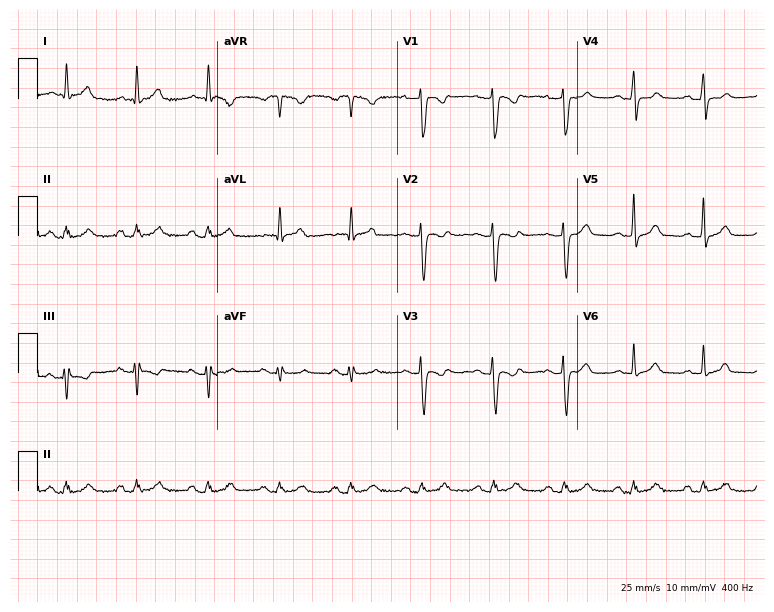
ECG — a 47-year-old woman. Screened for six findings — first-degree AV block, right bundle branch block (RBBB), left bundle branch block (LBBB), sinus bradycardia, atrial fibrillation (AF), sinus tachycardia — none is recorded. Other findings, if any, are not listed.